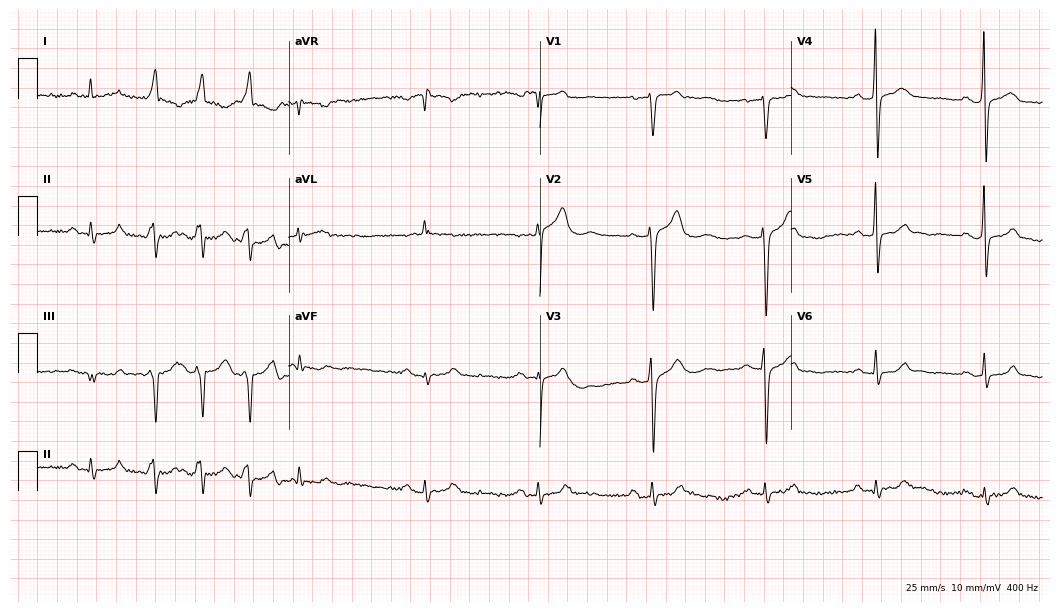
Electrocardiogram, a male patient, 74 years old. Of the six screened findings (first-degree AV block, right bundle branch block (RBBB), left bundle branch block (LBBB), sinus bradycardia, atrial fibrillation (AF), sinus tachycardia), none is recorded. Other findings, if any, are not listed.